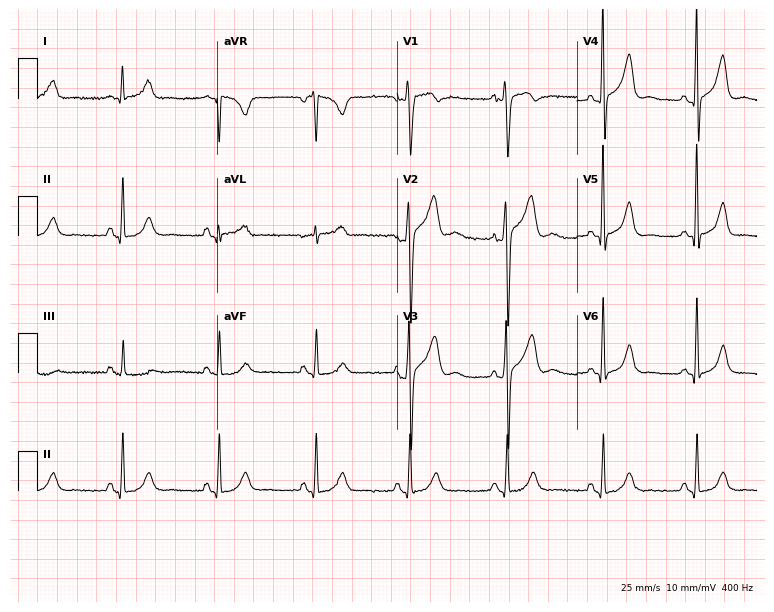
Standard 12-lead ECG recorded from a male, 56 years old (7.3-second recording at 400 Hz). Read as a normal ECG.